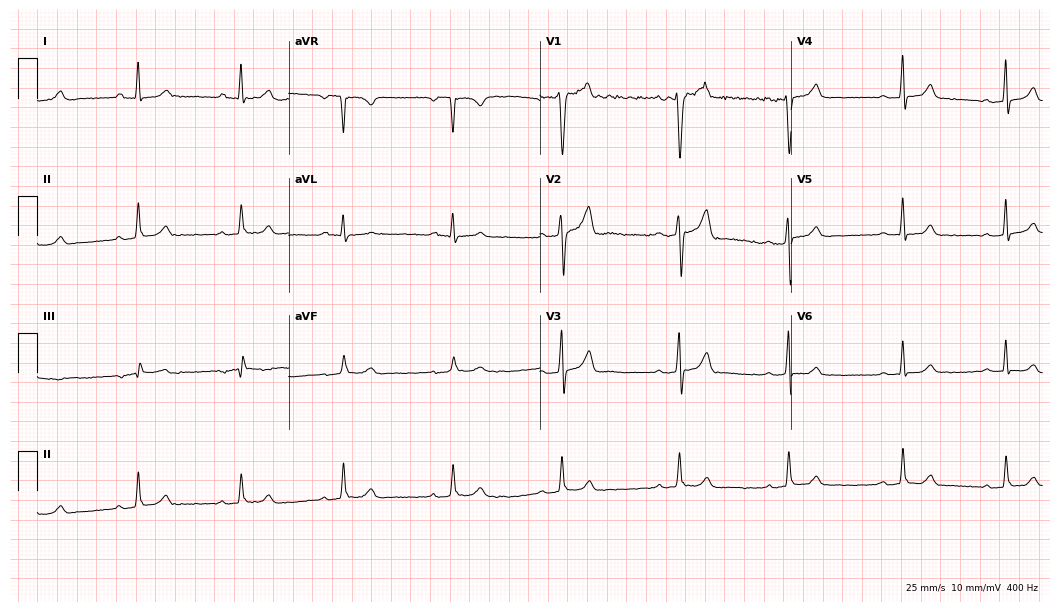
Standard 12-lead ECG recorded from a 43-year-old male patient. Read as a normal ECG.